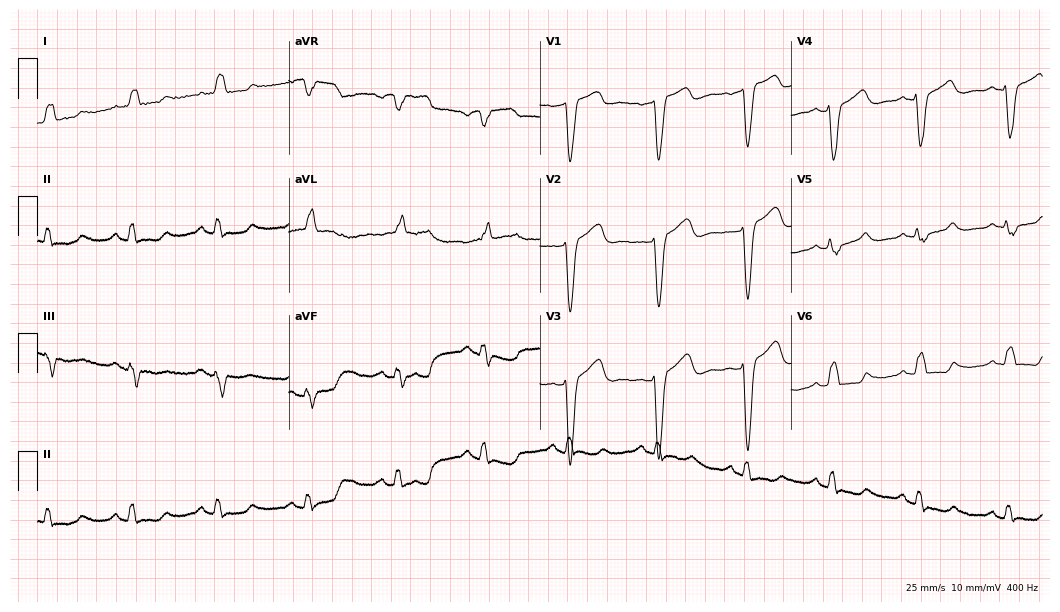
Electrocardiogram (10.2-second recording at 400 Hz), a female, 68 years old. Of the six screened findings (first-degree AV block, right bundle branch block, left bundle branch block, sinus bradycardia, atrial fibrillation, sinus tachycardia), none is recorded. Only these six findings were labelled.